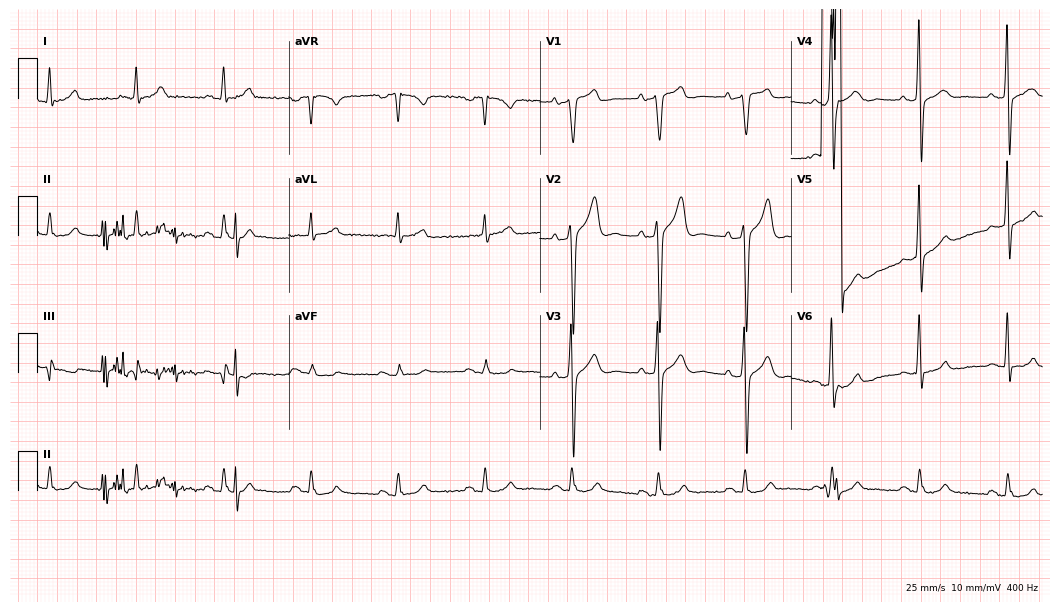
ECG (10.2-second recording at 400 Hz) — a male patient, 81 years old. Screened for six findings — first-degree AV block, right bundle branch block, left bundle branch block, sinus bradycardia, atrial fibrillation, sinus tachycardia — none is recorded.